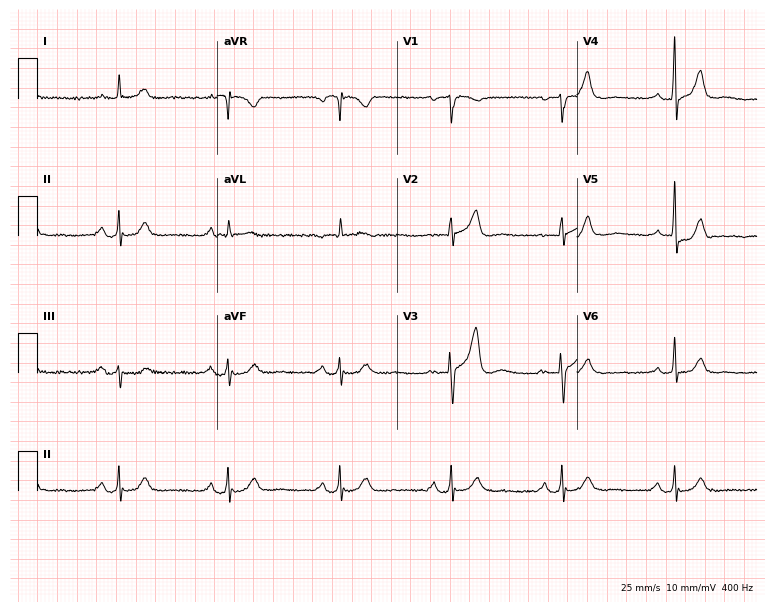
Electrocardiogram, a 78-year-old male. Overall reading on record: normal ECG.